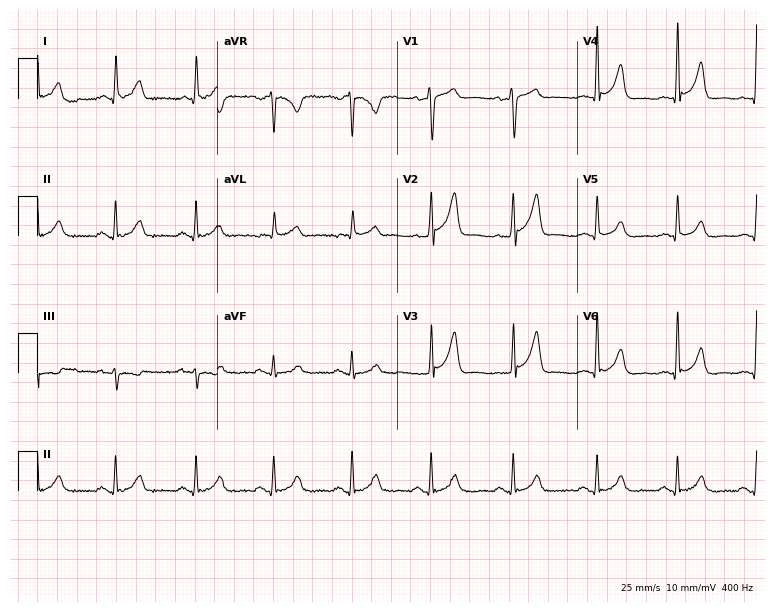
Resting 12-lead electrocardiogram. Patient: a 53-year-old man. None of these six findings is recorded: first-degree AV block, right bundle branch block (RBBB), left bundle branch block (LBBB), sinus bradycardia, atrial fibrillation (AF), sinus tachycardia. Other findings, if any, are not listed.